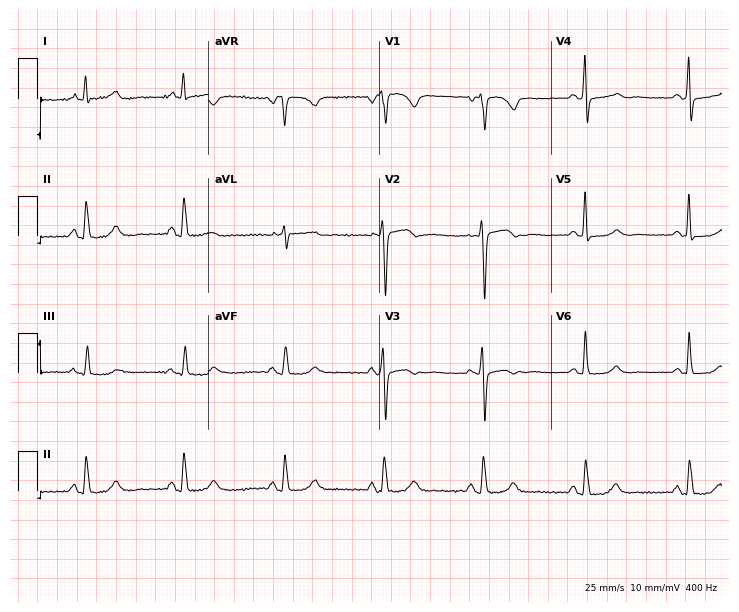
Standard 12-lead ECG recorded from a female, 58 years old (7-second recording at 400 Hz). None of these six findings is recorded: first-degree AV block, right bundle branch block, left bundle branch block, sinus bradycardia, atrial fibrillation, sinus tachycardia.